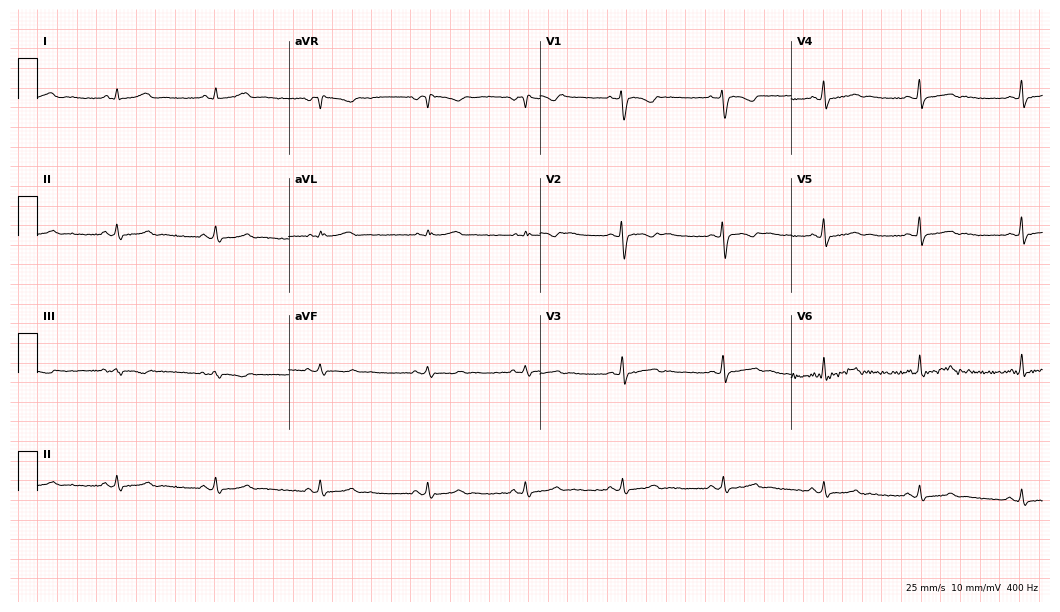
12-lead ECG from a female patient, 20 years old (10.2-second recording at 400 Hz). Recorded interpretation: within normal limits.